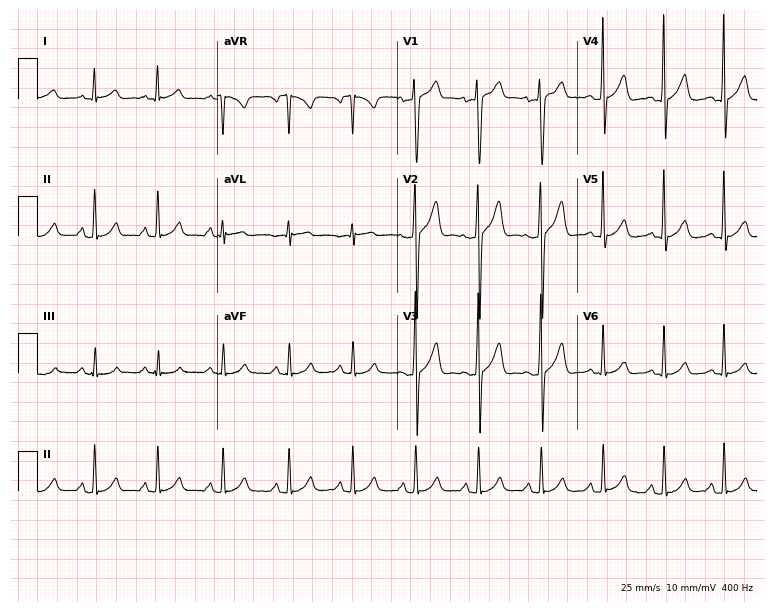
Resting 12-lead electrocardiogram (7.3-second recording at 400 Hz). Patient: a 26-year-old male. Read as a normal ECG.